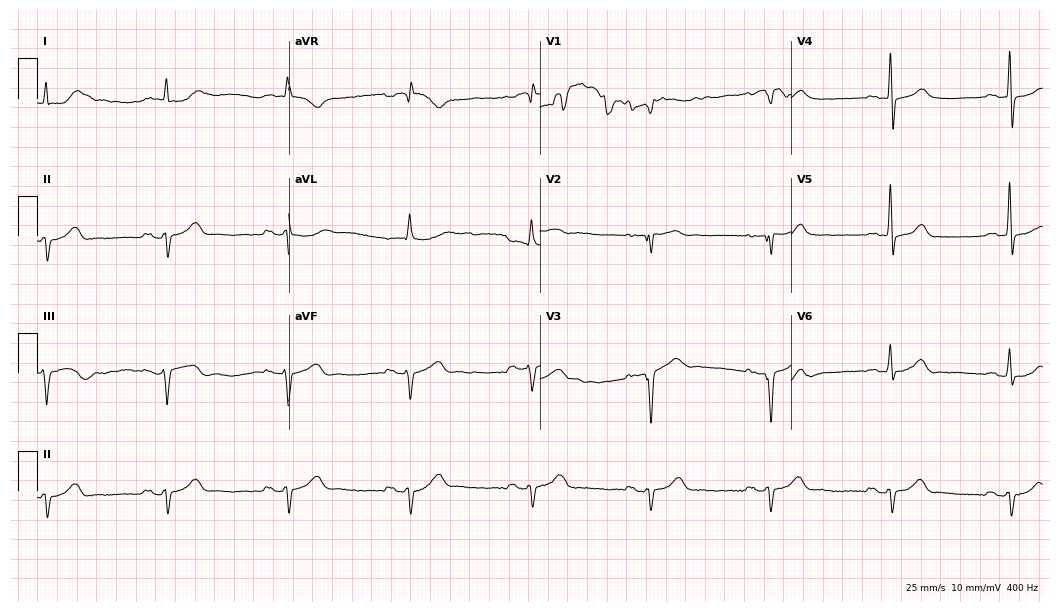
ECG (10.2-second recording at 400 Hz) — a man, 69 years old. Findings include sinus bradycardia (a sinus rate of 50 beats per minute or less).